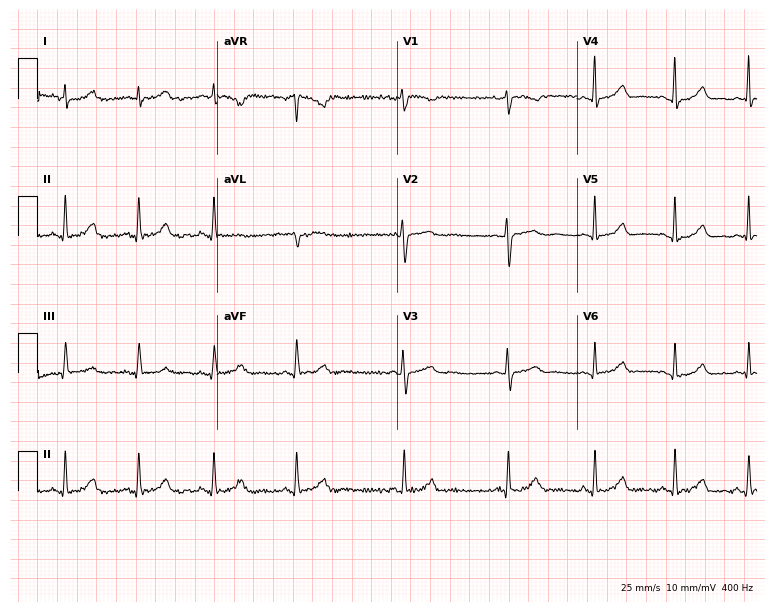
12-lead ECG from a woman, 36 years old. Labelled as a normal ECG.